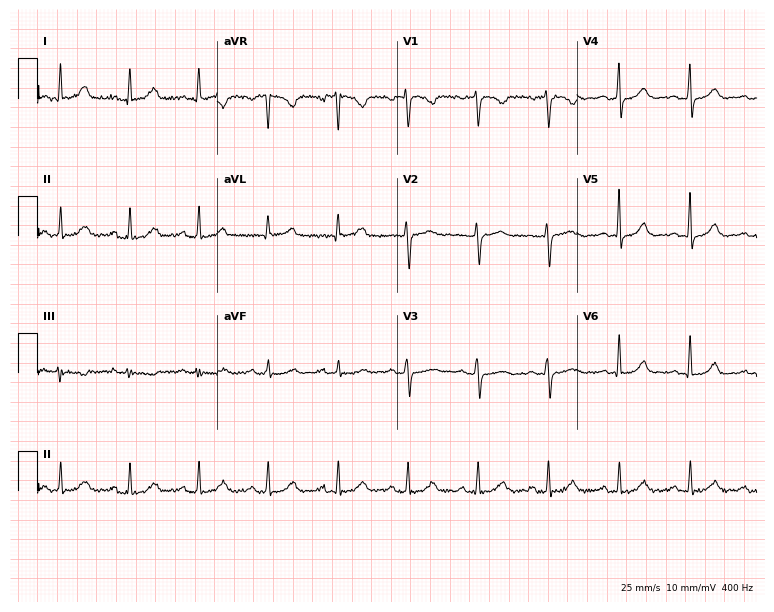
ECG — a female, 51 years old. Labelled as a normal ECG.